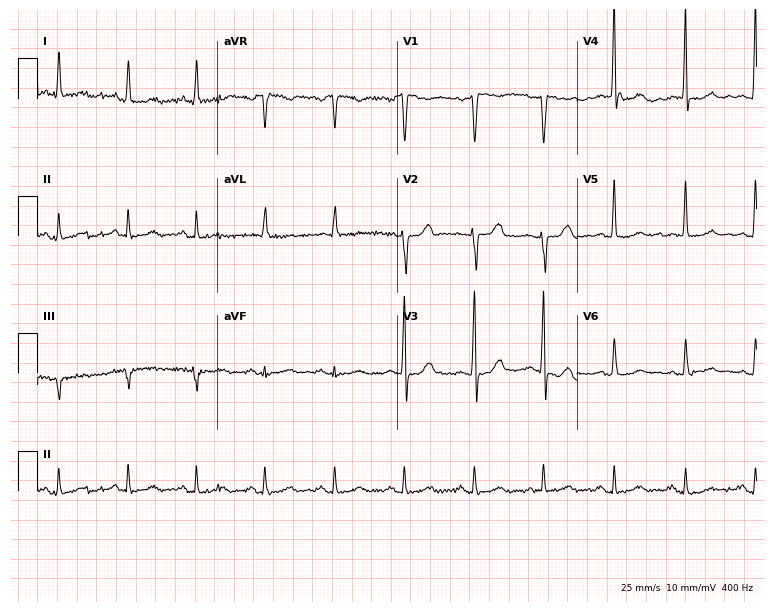
Resting 12-lead electrocardiogram (7.3-second recording at 400 Hz). Patient: a woman, 50 years old. Read as a normal ECG.